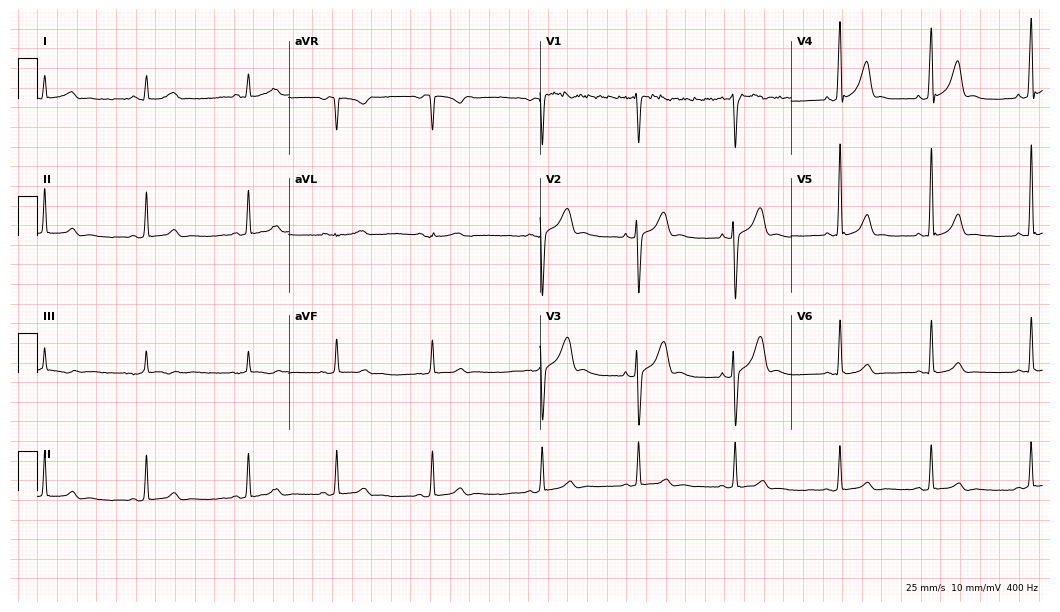
Resting 12-lead electrocardiogram (10.2-second recording at 400 Hz). Patient: a man, 19 years old. Read as a normal ECG.